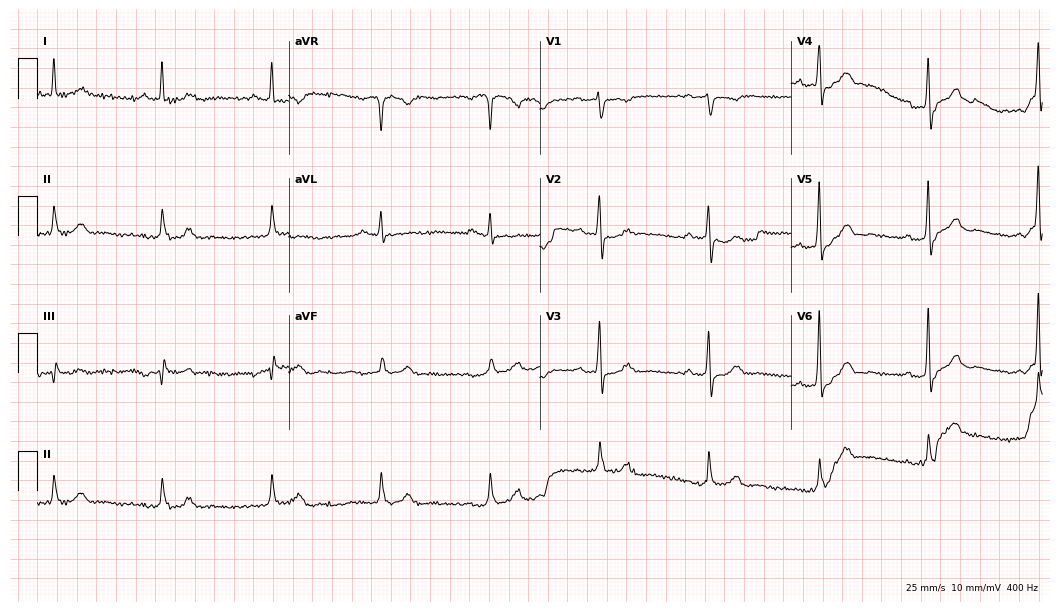
Electrocardiogram, a male, 81 years old. Of the six screened findings (first-degree AV block, right bundle branch block (RBBB), left bundle branch block (LBBB), sinus bradycardia, atrial fibrillation (AF), sinus tachycardia), none is recorded. Findings outside these six are not listed.